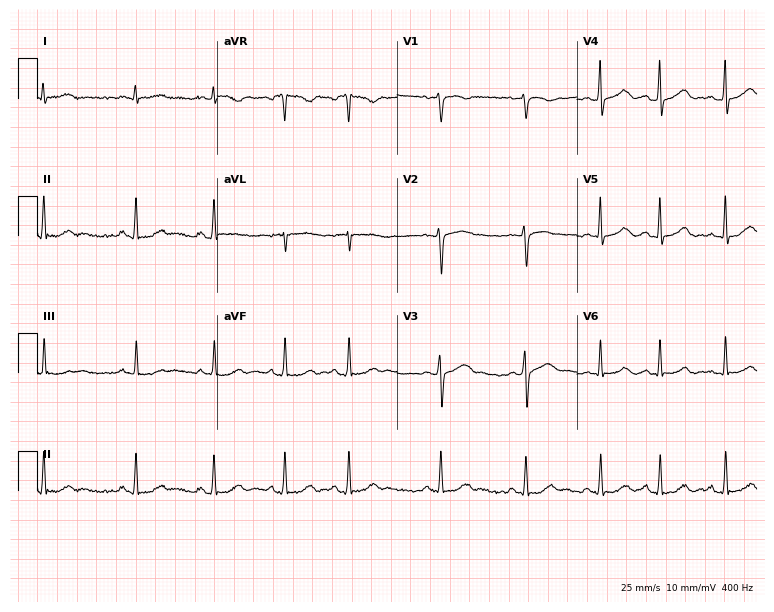
Electrocardiogram, a female, 20 years old. Of the six screened findings (first-degree AV block, right bundle branch block, left bundle branch block, sinus bradycardia, atrial fibrillation, sinus tachycardia), none is recorded.